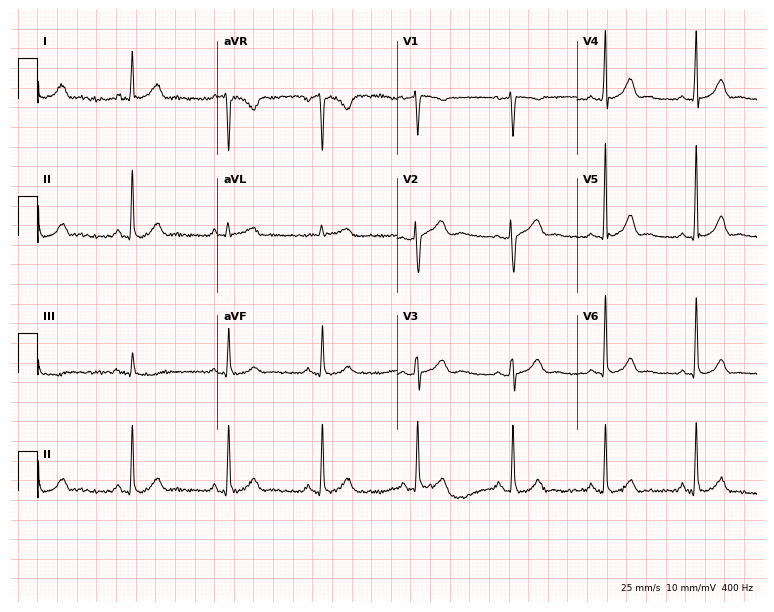
Resting 12-lead electrocardiogram (7.3-second recording at 400 Hz). Patient: a woman, 52 years old. Read as a normal ECG.